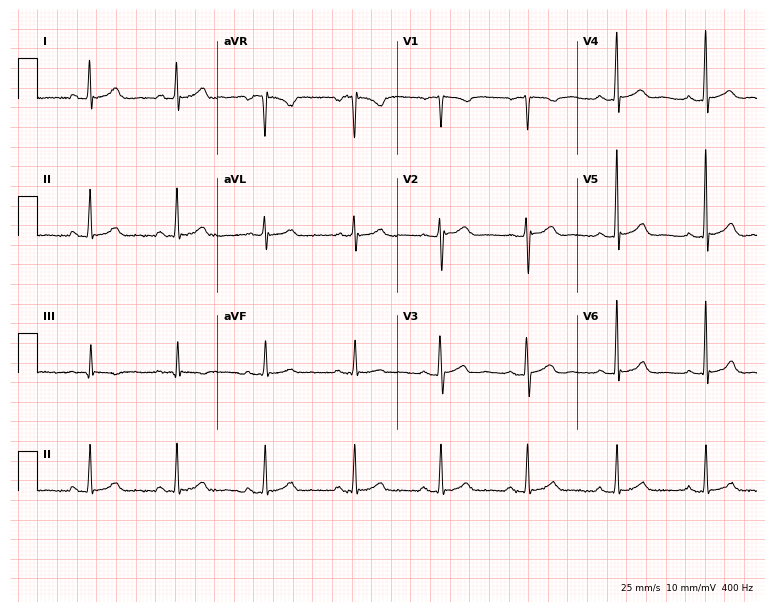
ECG — a 38-year-old male. Labelled as a normal ECG.